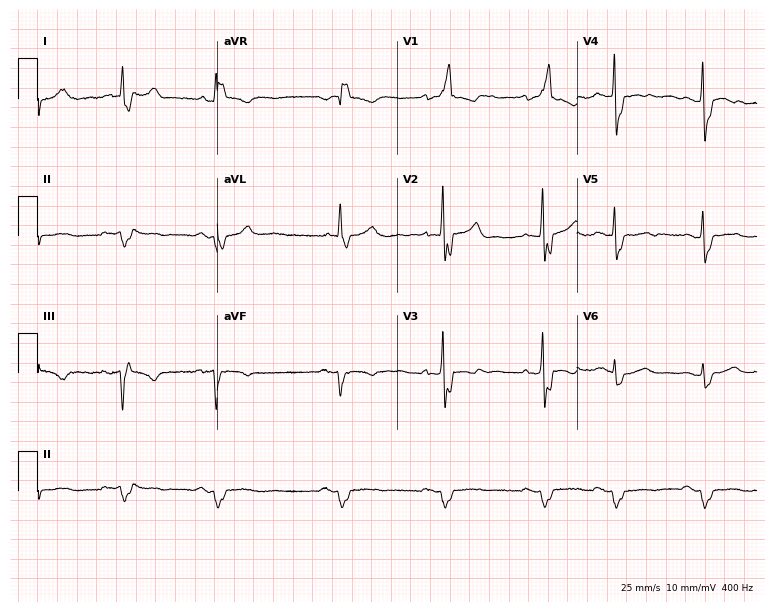
Standard 12-lead ECG recorded from a 75-year-old male patient. None of these six findings is recorded: first-degree AV block, right bundle branch block, left bundle branch block, sinus bradycardia, atrial fibrillation, sinus tachycardia.